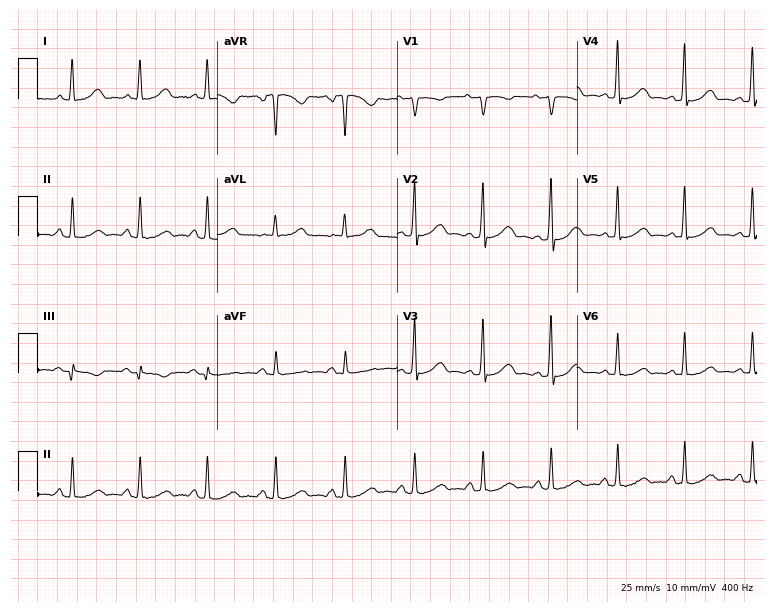
Resting 12-lead electrocardiogram. Patient: a female, 39 years old. None of these six findings is recorded: first-degree AV block, right bundle branch block, left bundle branch block, sinus bradycardia, atrial fibrillation, sinus tachycardia.